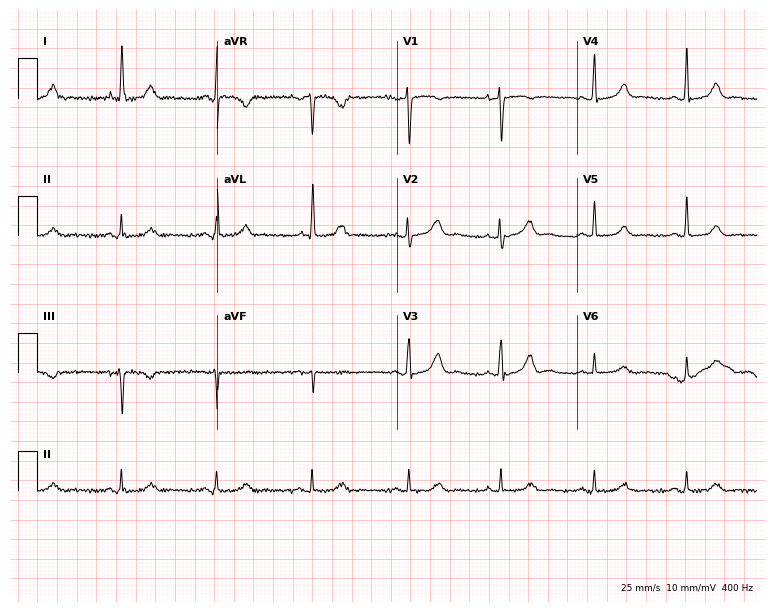
12-lead ECG from a 62-year-old woman. No first-degree AV block, right bundle branch block (RBBB), left bundle branch block (LBBB), sinus bradycardia, atrial fibrillation (AF) or sinus tachycardia recorded for this tracing.